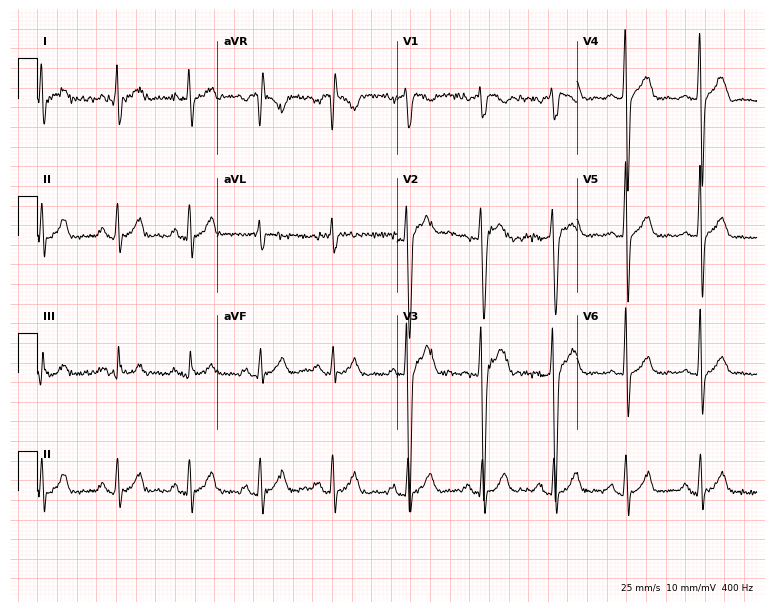
12-lead ECG from a male, 35 years old. Screened for six findings — first-degree AV block, right bundle branch block, left bundle branch block, sinus bradycardia, atrial fibrillation, sinus tachycardia — none is recorded.